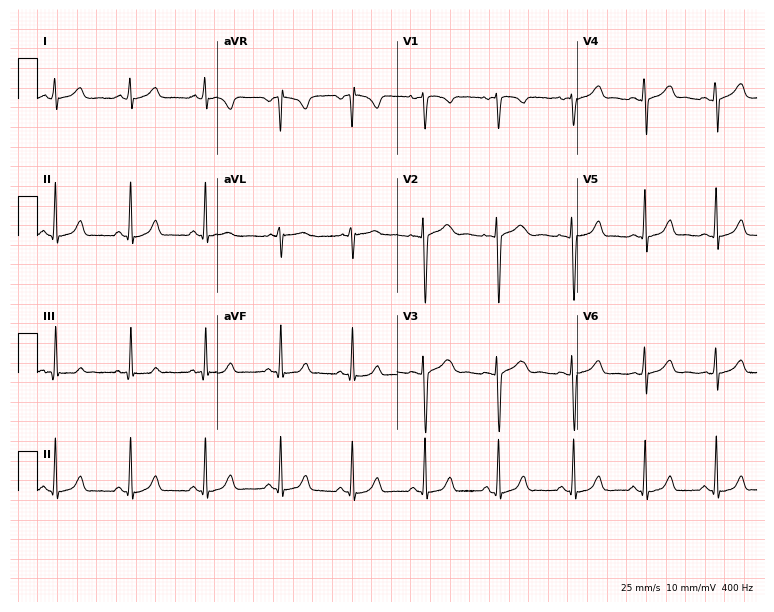
Standard 12-lead ECG recorded from a female patient, 32 years old (7.3-second recording at 400 Hz). None of these six findings is recorded: first-degree AV block, right bundle branch block (RBBB), left bundle branch block (LBBB), sinus bradycardia, atrial fibrillation (AF), sinus tachycardia.